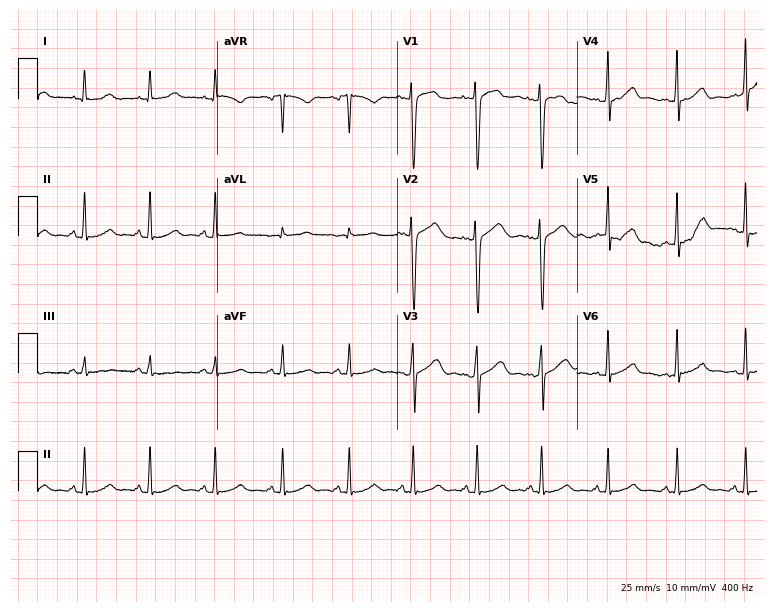
Standard 12-lead ECG recorded from a female, 25 years old (7.3-second recording at 400 Hz). Read as a normal ECG.